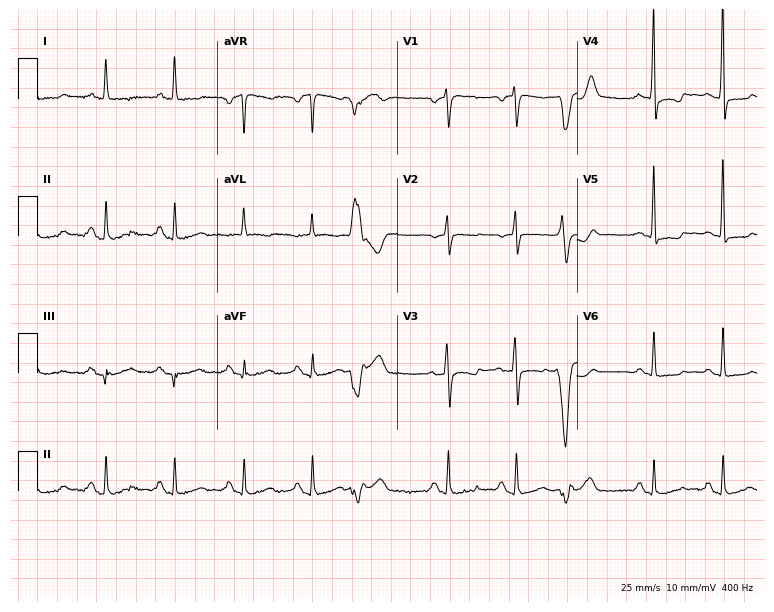
12-lead ECG from a 59-year-old female. No first-degree AV block, right bundle branch block (RBBB), left bundle branch block (LBBB), sinus bradycardia, atrial fibrillation (AF) or sinus tachycardia recorded for this tracing. Findings outside these six are not listed.